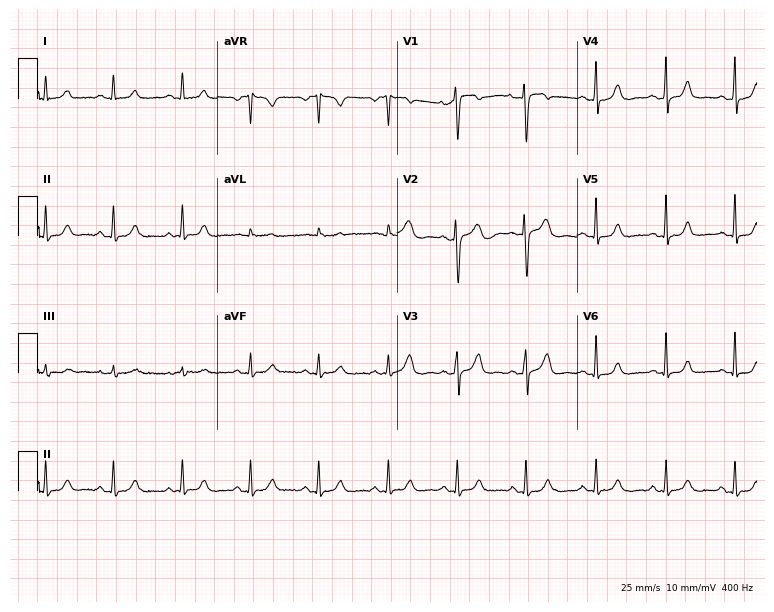
Standard 12-lead ECG recorded from a 51-year-old female patient (7.3-second recording at 400 Hz). Read as a normal ECG.